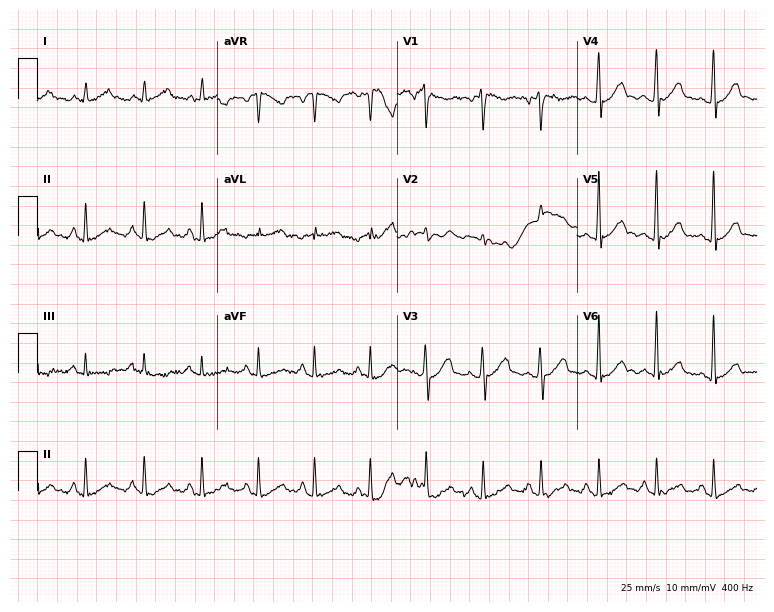
ECG — a male, 48 years old. Findings include sinus tachycardia (a sinus rate of 100 beats per minute or more).